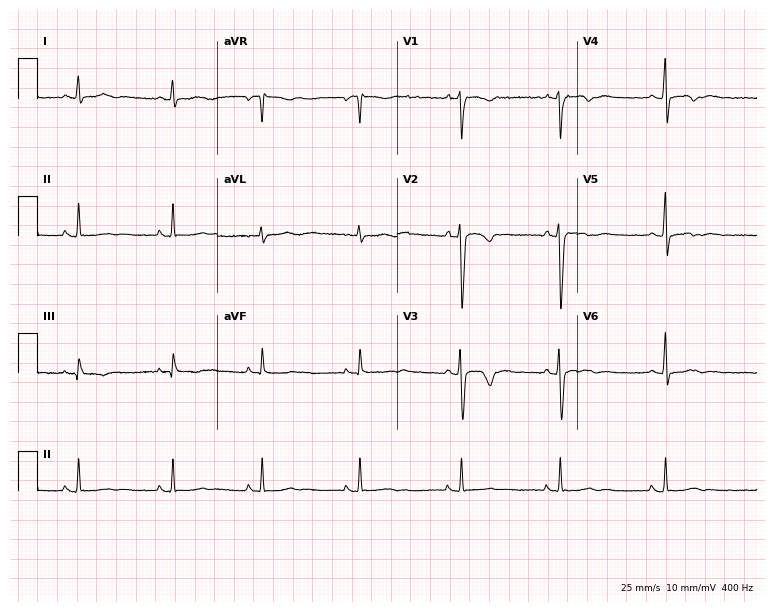
Standard 12-lead ECG recorded from a female patient, 24 years old. None of these six findings is recorded: first-degree AV block, right bundle branch block, left bundle branch block, sinus bradycardia, atrial fibrillation, sinus tachycardia. Only these six findings were labelled.